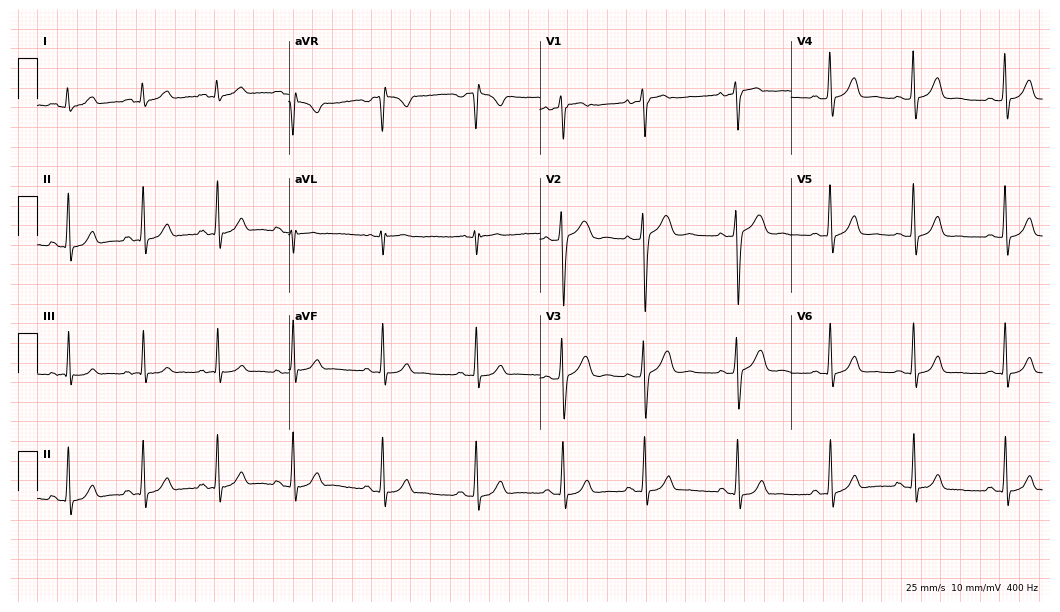
12-lead ECG from a 17-year-old female. Recorded interpretation: within normal limits.